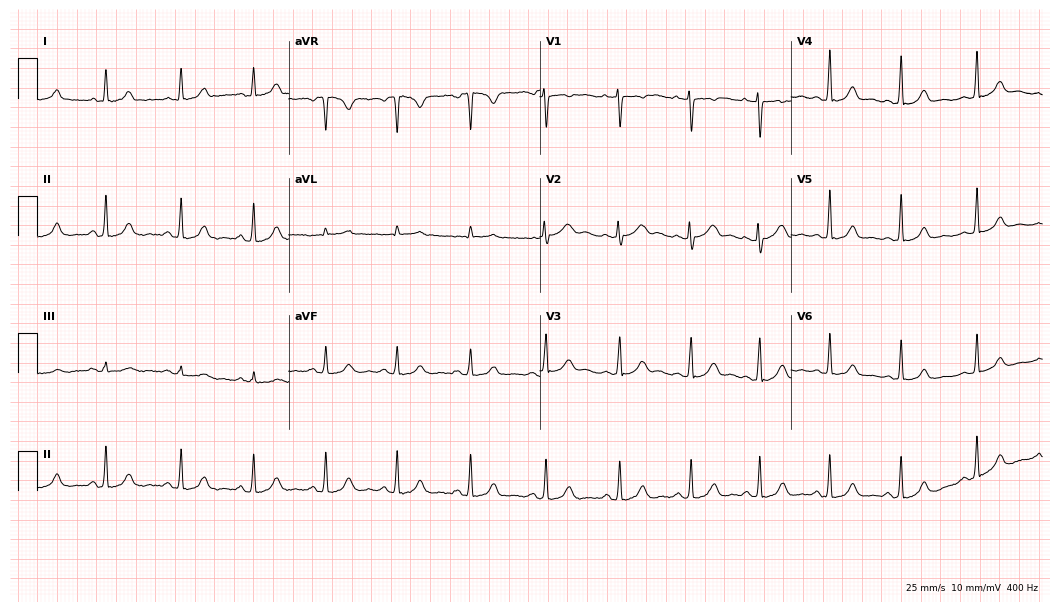
ECG (10.2-second recording at 400 Hz) — a female patient, 29 years old. Labelled as a normal ECG.